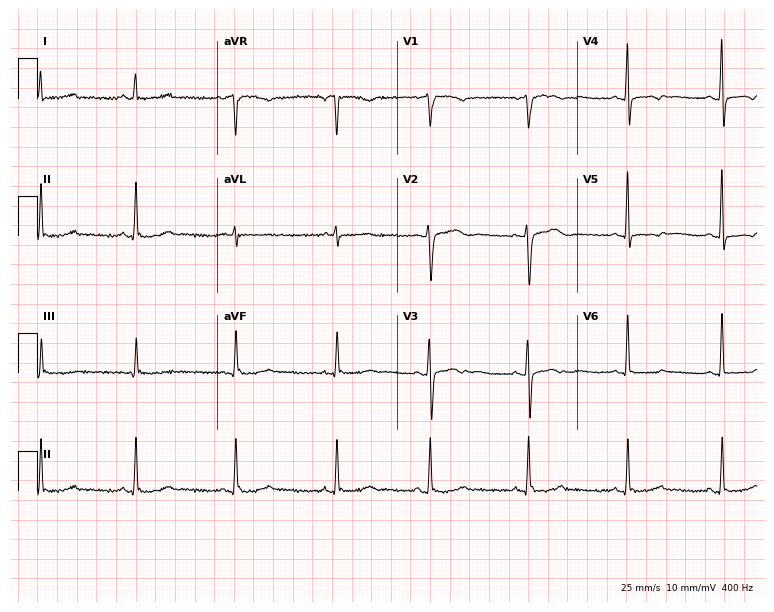
ECG (7.3-second recording at 400 Hz) — a female patient, 51 years old. Screened for six findings — first-degree AV block, right bundle branch block, left bundle branch block, sinus bradycardia, atrial fibrillation, sinus tachycardia — none is recorded.